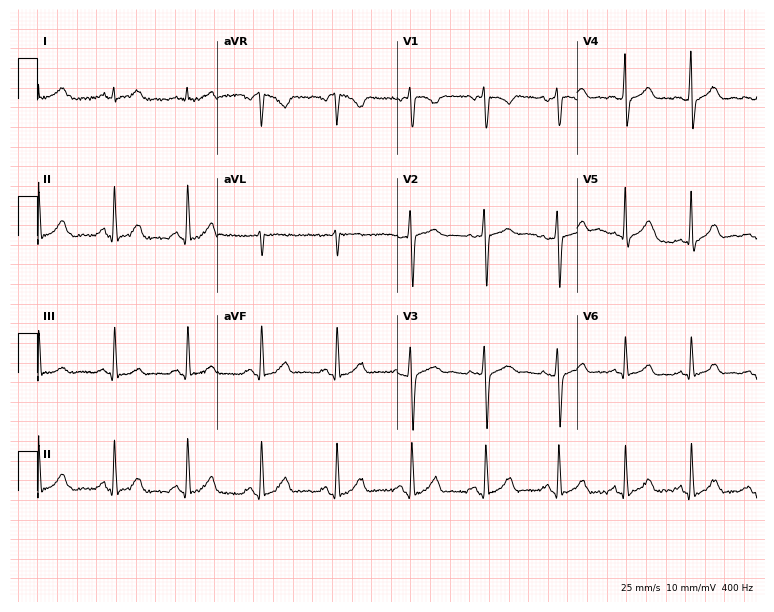
12-lead ECG from a 28-year-old female patient. Recorded interpretation: within normal limits.